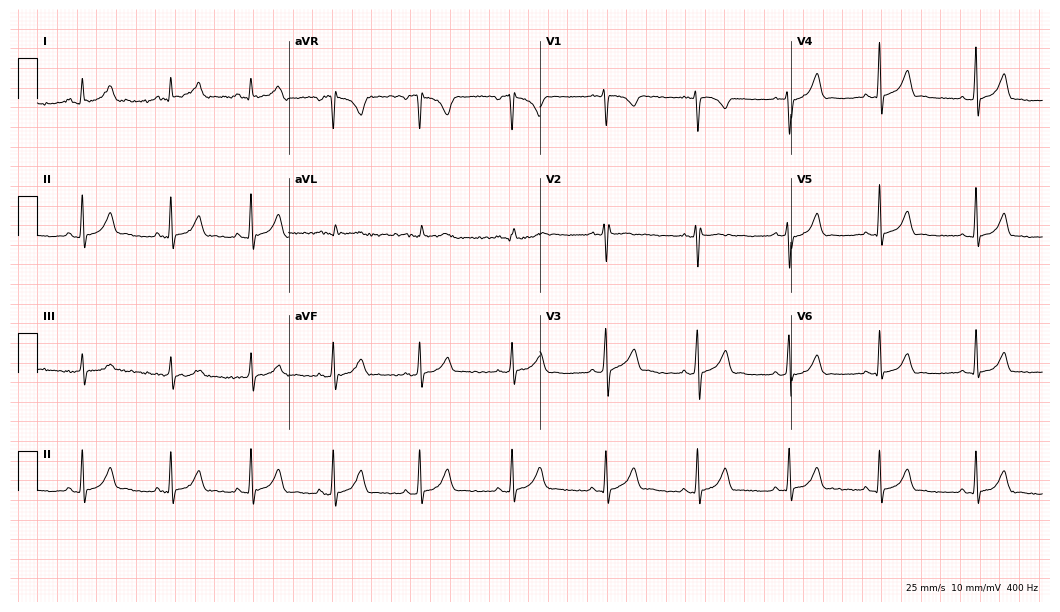
Standard 12-lead ECG recorded from a 26-year-old female (10.2-second recording at 400 Hz). Read as a normal ECG.